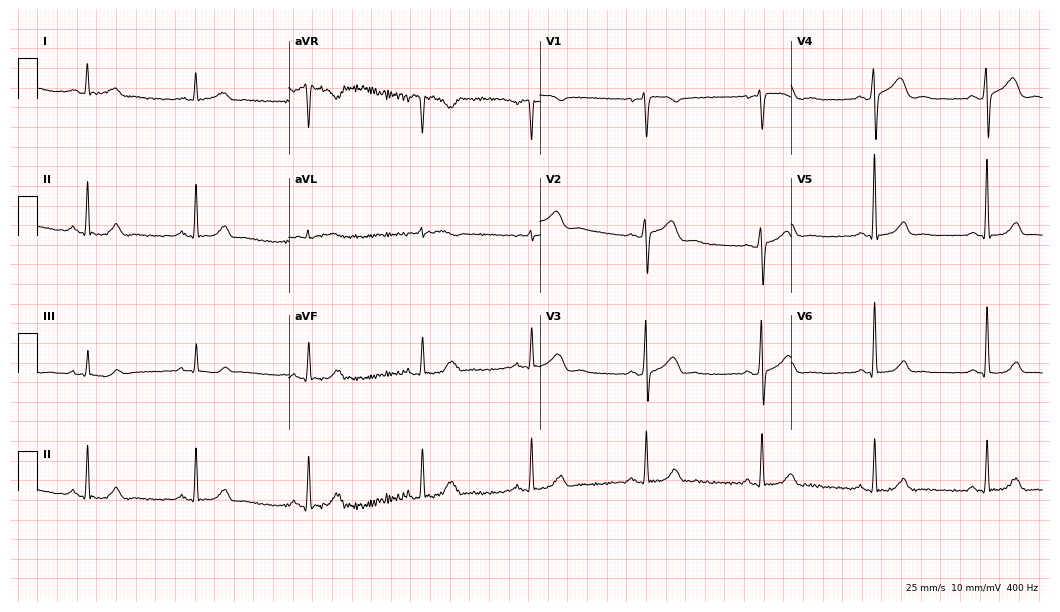
Standard 12-lead ECG recorded from a 52-year-old woman. None of these six findings is recorded: first-degree AV block, right bundle branch block, left bundle branch block, sinus bradycardia, atrial fibrillation, sinus tachycardia.